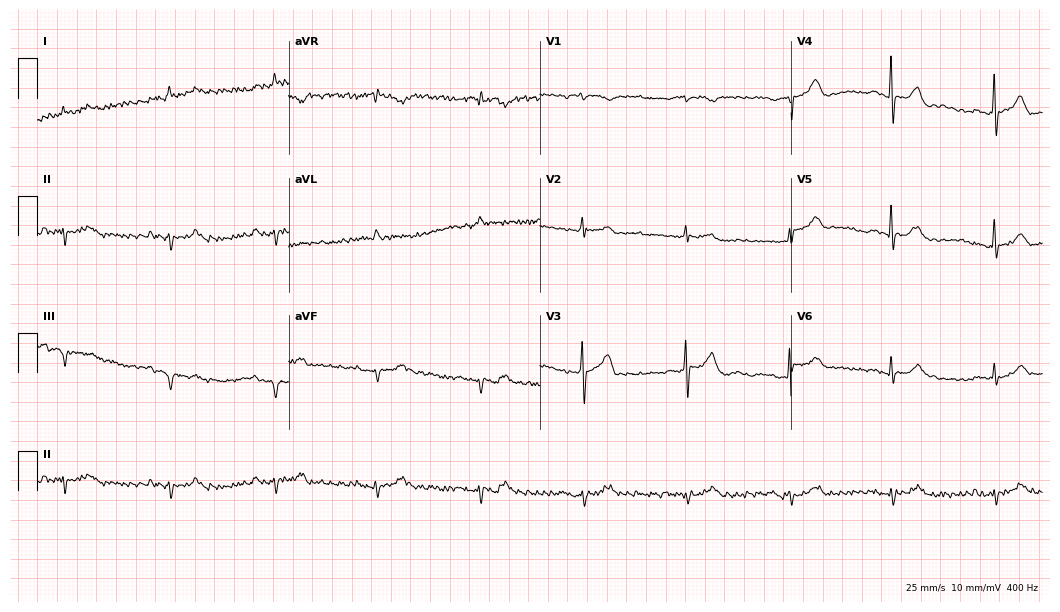
ECG — a male, 84 years old. Screened for six findings — first-degree AV block, right bundle branch block, left bundle branch block, sinus bradycardia, atrial fibrillation, sinus tachycardia — none is recorded. Only these six findings were labelled.